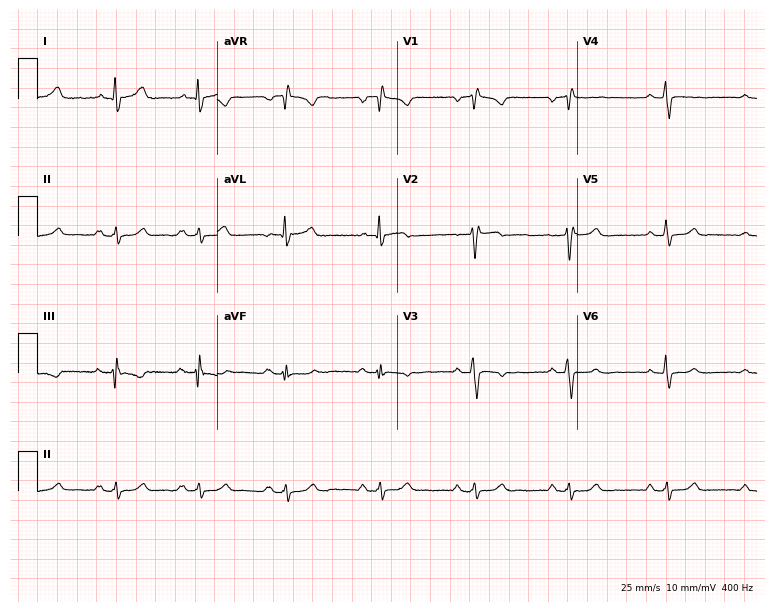
ECG — a man, 41 years old. Screened for six findings — first-degree AV block, right bundle branch block, left bundle branch block, sinus bradycardia, atrial fibrillation, sinus tachycardia — none is recorded. Only these six findings were labelled.